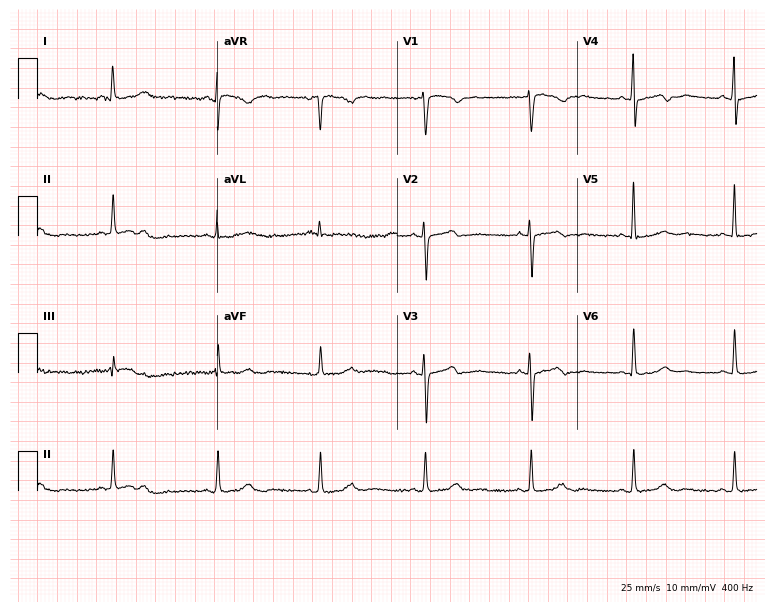
Standard 12-lead ECG recorded from a 52-year-old female patient. Read as a normal ECG.